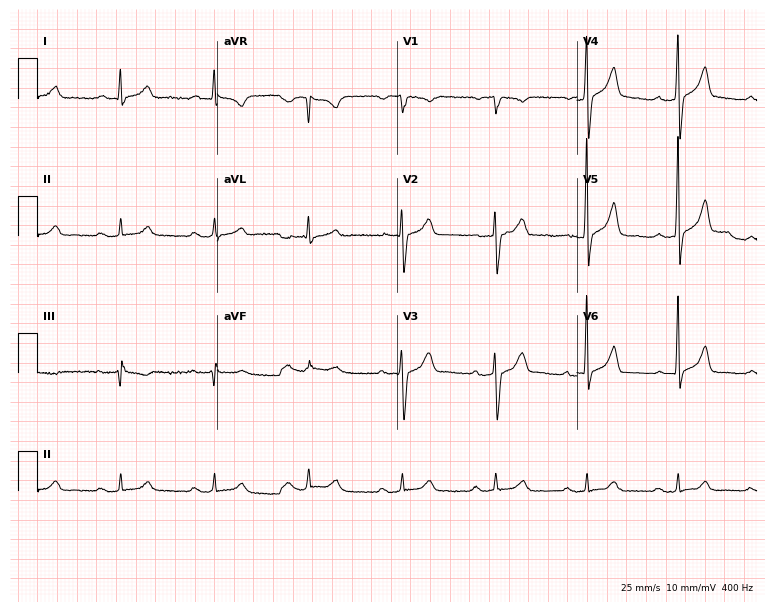
Resting 12-lead electrocardiogram. Patient: a male, 64 years old. Read as a normal ECG.